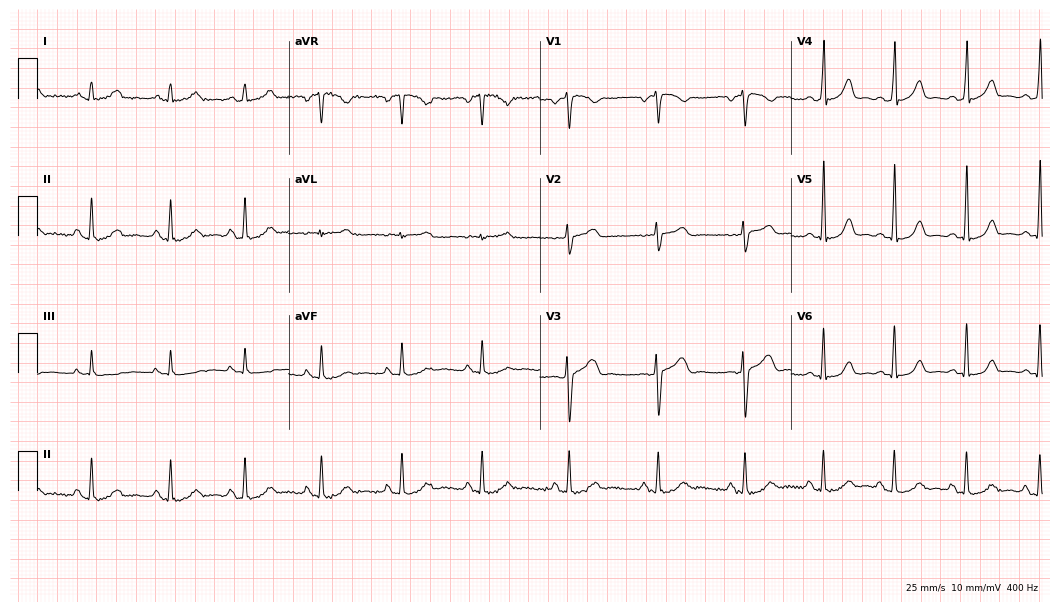
Electrocardiogram, a woman, 31 years old. Overall reading on record: normal ECG.